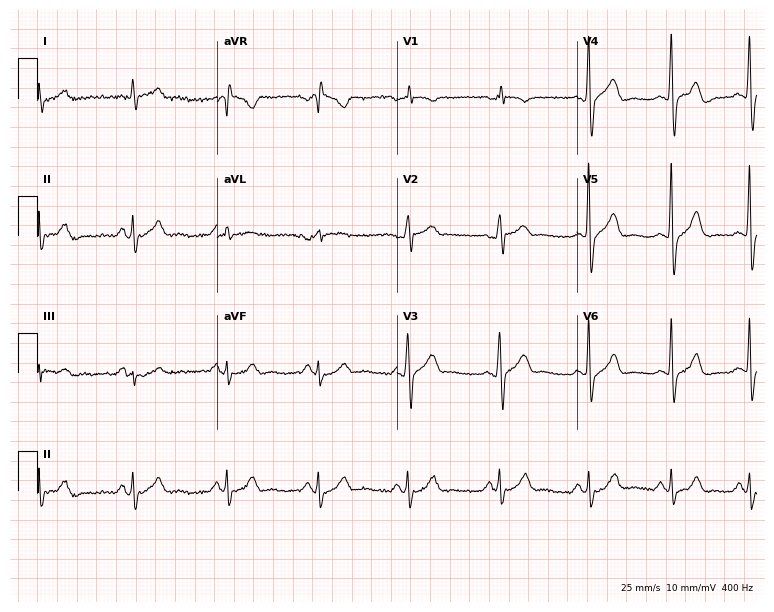
ECG — a 61-year-old male patient. Labelled as a normal ECG.